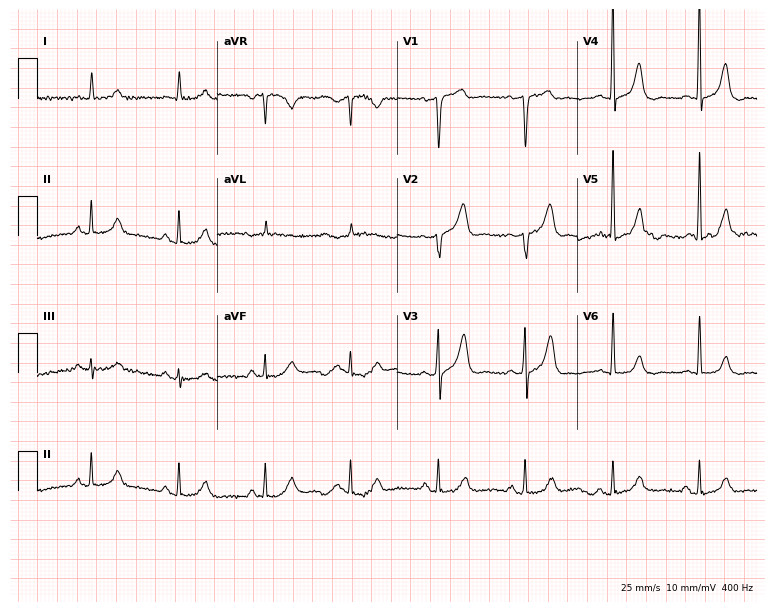
Standard 12-lead ECG recorded from a 67-year-old male patient. Read as a normal ECG.